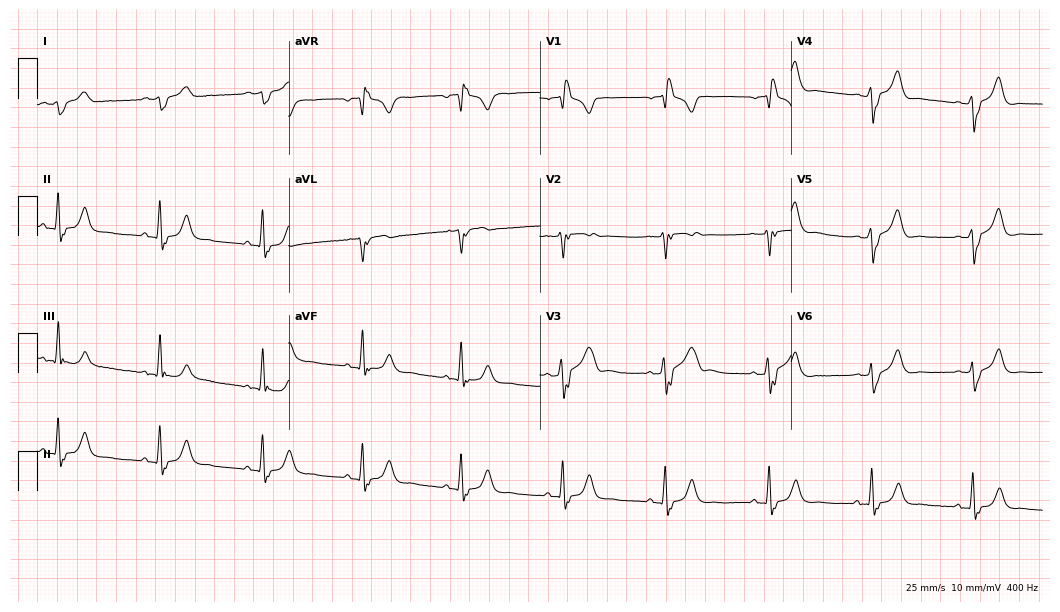
Electrocardiogram (10.2-second recording at 400 Hz), a 60-year-old male patient. Interpretation includes right bundle branch block (RBBB).